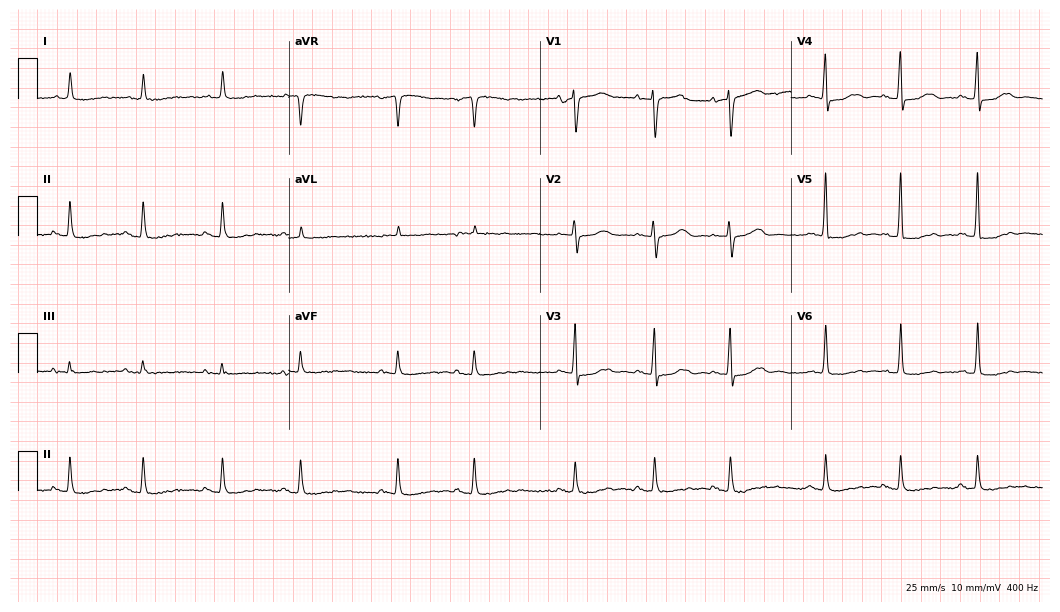
Standard 12-lead ECG recorded from an 84-year-old male patient (10.2-second recording at 400 Hz). Read as a normal ECG.